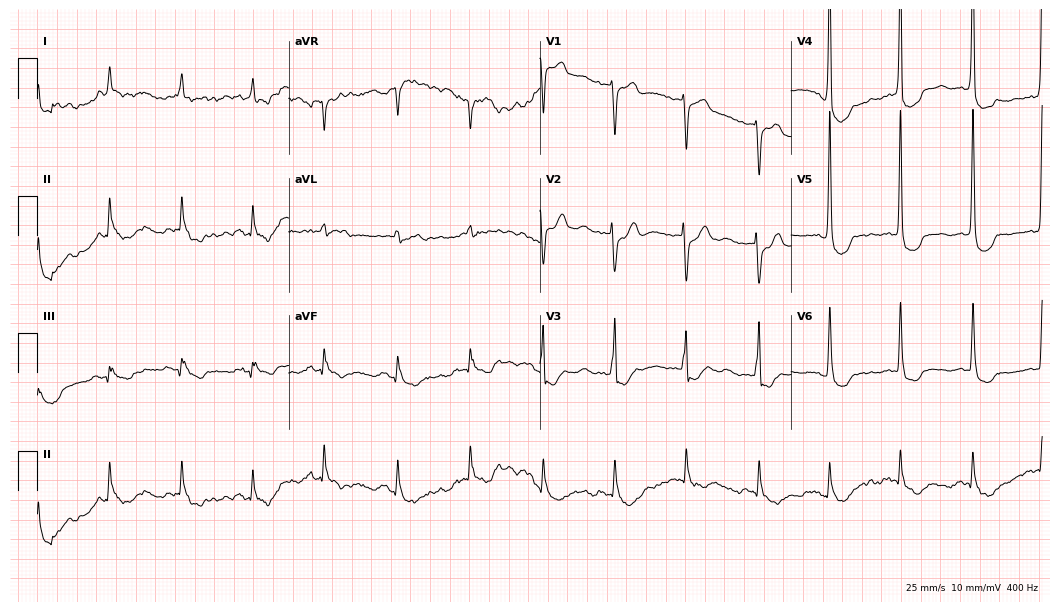
Electrocardiogram, a female patient, 82 years old. Overall reading on record: normal ECG.